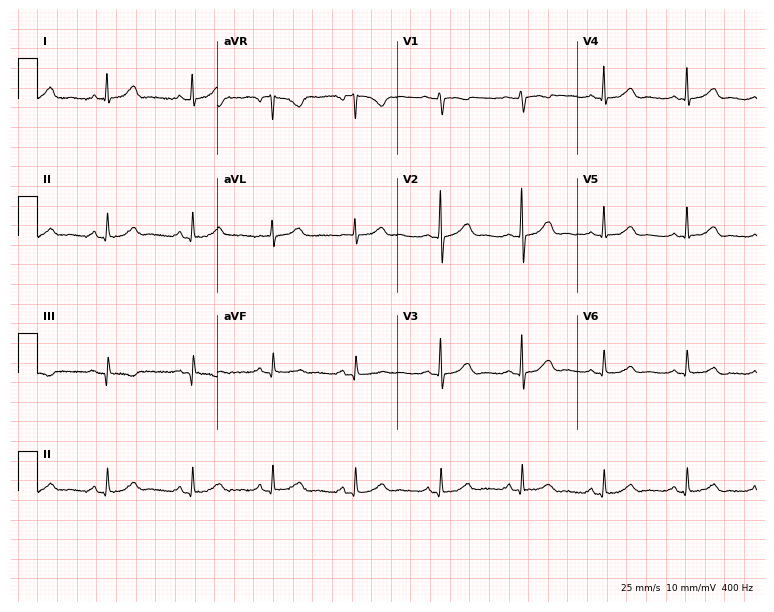
ECG (7.3-second recording at 400 Hz) — a female, 42 years old. Labelled as a normal ECG.